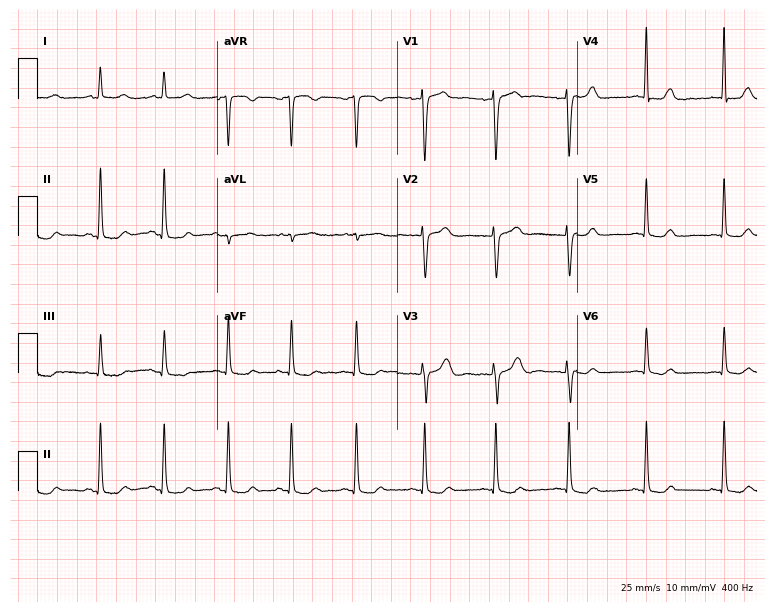
Resting 12-lead electrocardiogram (7.3-second recording at 400 Hz). Patient: a 42-year-old female. None of these six findings is recorded: first-degree AV block, right bundle branch block, left bundle branch block, sinus bradycardia, atrial fibrillation, sinus tachycardia. Findings outside these six are not listed.